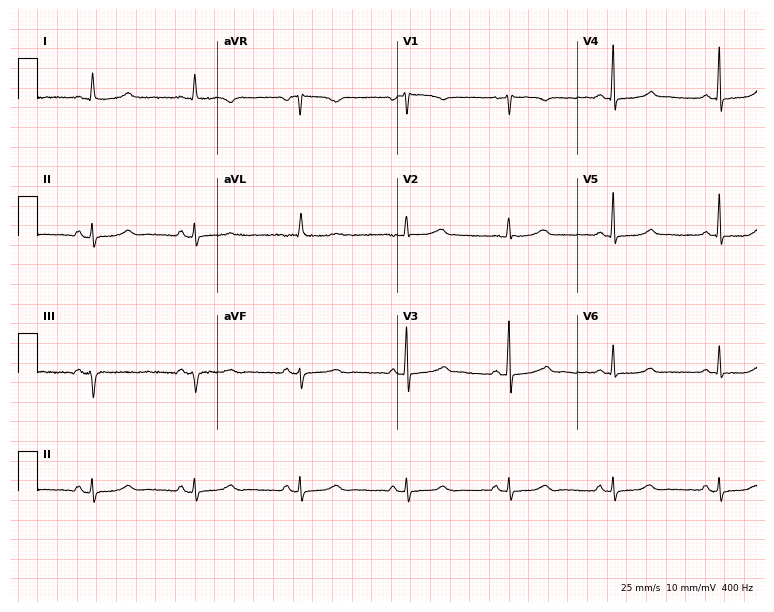
Resting 12-lead electrocardiogram. Patient: a 38-year-old female. None of these six findings is recorded: first-degree AV block, right bundle branch block (RBBB), left bundle branch block (LBBB), sinus bradycardia, atrial fibrillation (AF), sinus tachycardia. Findings outside these six are not listed.